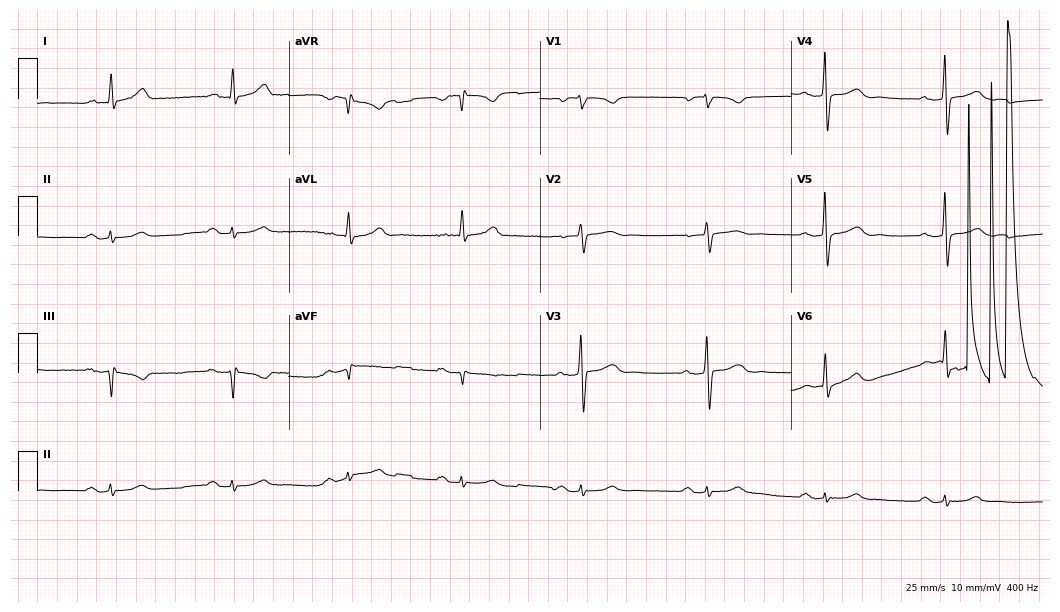
Resting 12-lead electrocardiogram (10.2-second recording at 400 Hz). Patient: a male, 69 years old. The tracing shows atrial fibrillation.